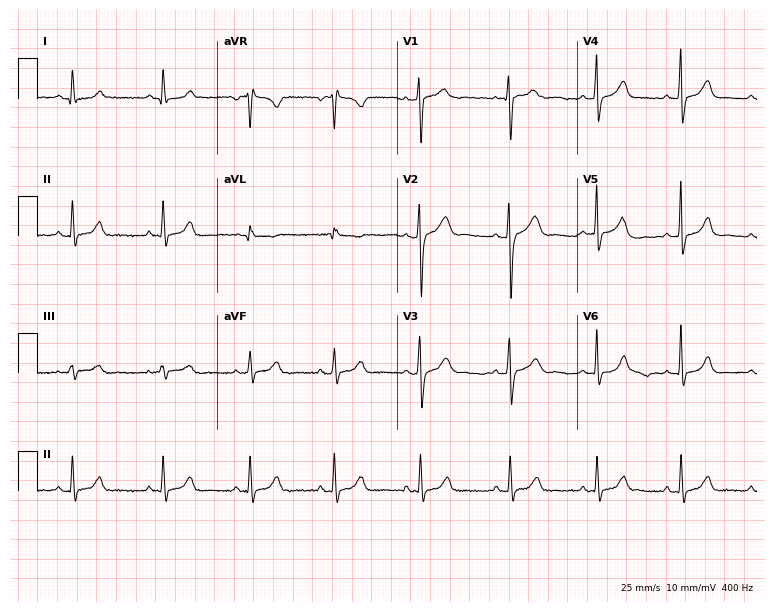
12-lead ECG from an 18-year-old female patient (7.3-second recording at 400 Hz). Recorded interpretation: within normal limits.